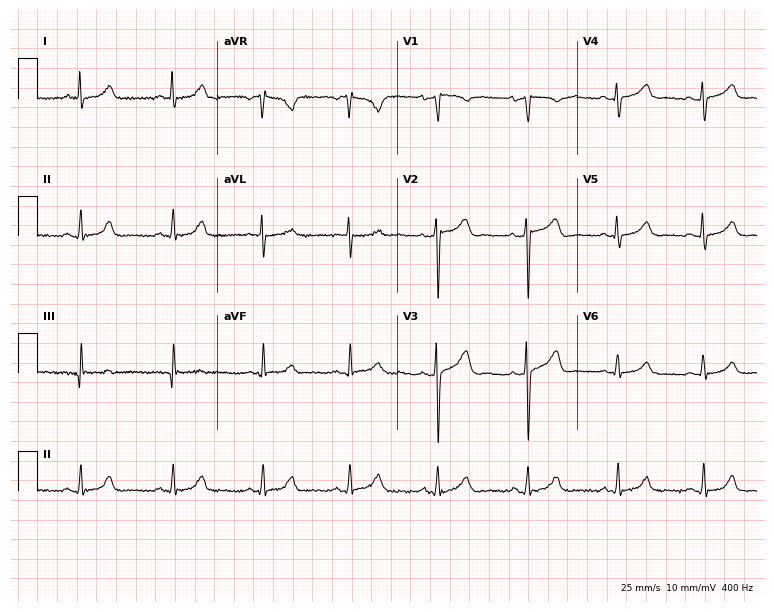
Standard 12-lead ECG recorded from a female patient, 52 years old. None of these six findings is recorded: first-degree AV block, right bundle branch block (RBBB), left bundle branch block (LBBB), sinus bradycardia, atrial fibrillation (AF), sinus tachycardia.